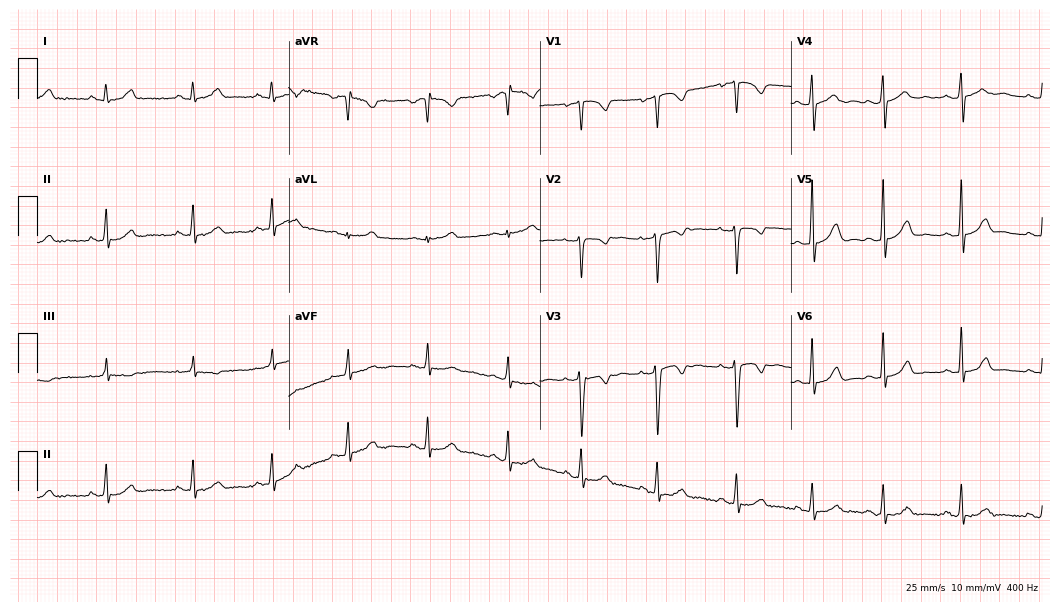
12-lead ECG from a 25-year-old woman. Screened for six findings — first-degree AV block, right bundle branch block (RBBB), left bundle branch block (LBBB), sinus bradycardia, atrial fibrillation (AF), sinus tachycardia — none is recorded. Findings outside these six are not listed.